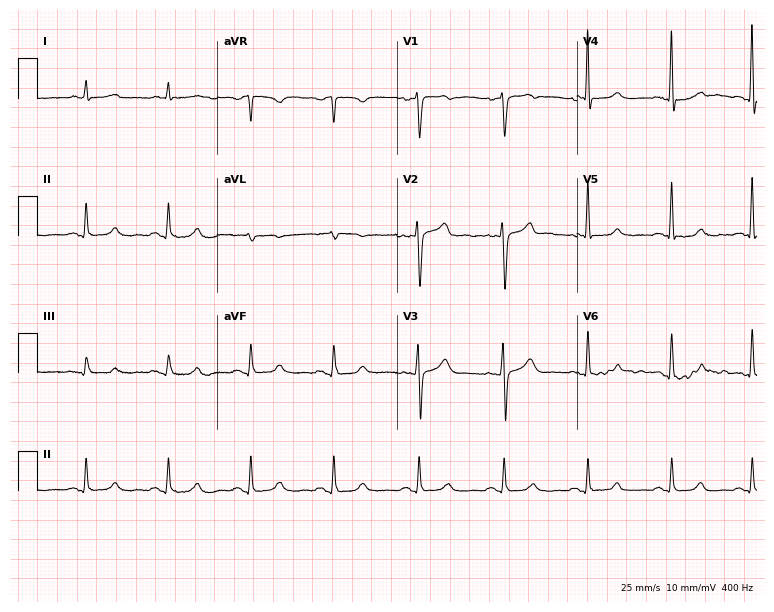
Standard 12-lead ECG recorded from a 61-year-old female patient (7.3-second recording at 400 Hz). Read as a normal ECG.